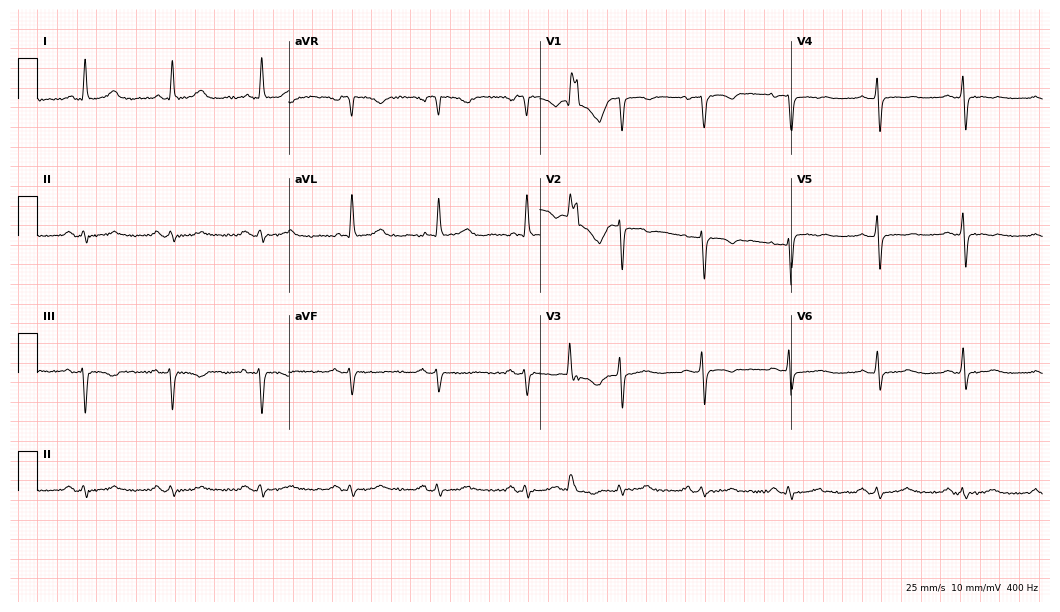
ECG — a 65-year-old female patient. Screened for six findings — first-degree AV block, right bundle branch block (RBBB), left bundle branch block (LBBB), sinus bradycardia, atrial fibrillation (AF), sinus tachycardia — none is recorded. Findings outside these six are not listed.